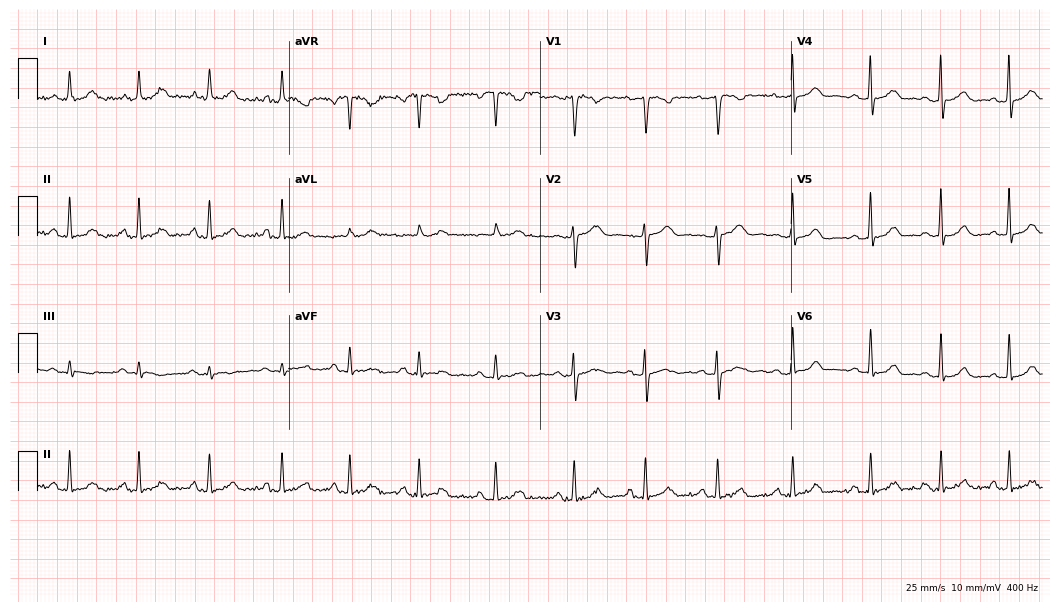
Resting 12-lead electrocardiogram (10.2-second recording at 400 Hz). Patient: a female, 27 years old. Read as a normal ECG.